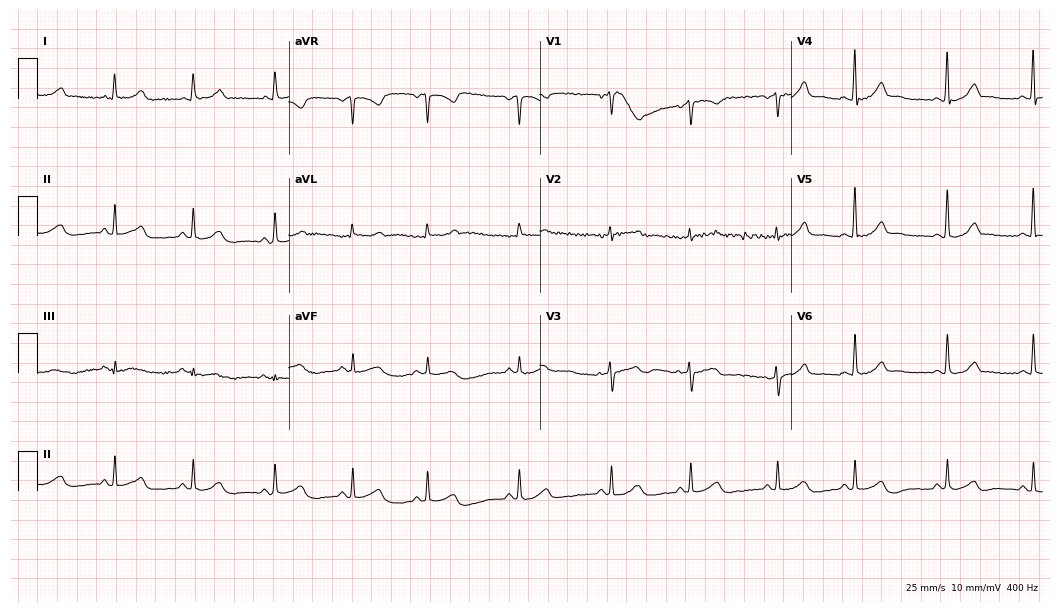
Resting 12-lead electrocardiogram (10.2-second recording at 400 Hz). Patient: a 21-year-old woman. None of these six findings is recorded: first-degree AV block, right bundle branch block (RBBB), left bundle branch block (LBBB), sinus bradycardia, atrial fibrillation (AF), sinus tachycardia. Only these six findings were labelled.